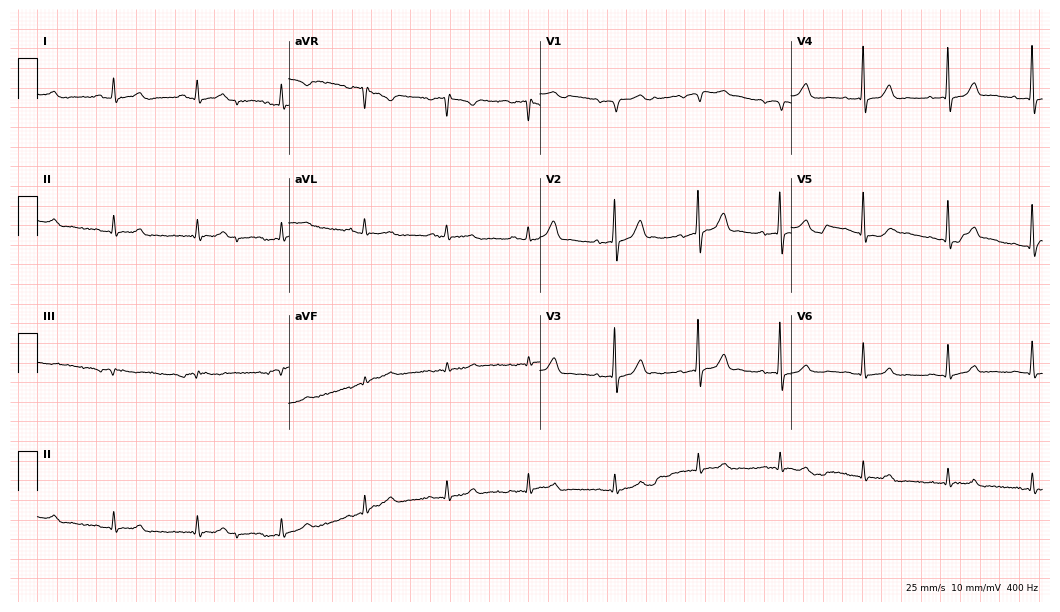
12-lead ECG from a male, 76 years old. Labelled as a normal ECG.